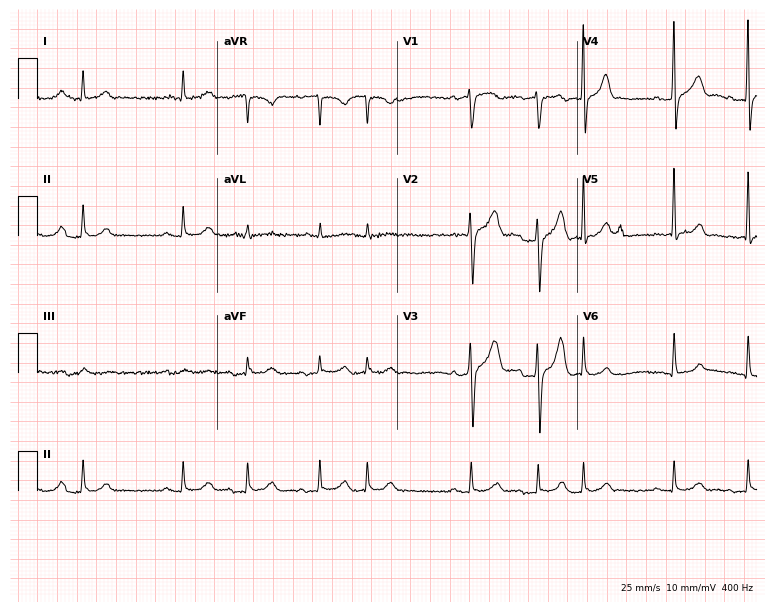
Resting 12-lead electrocardiogram (7.3-second recording at 400 Hz). Patient: a male, 60 years old. None of these six findings is recorded: first-degree AV block, right bundle branch block, left bundle branch block, sinus bradycardia, atrial fibrillation, sinus tachycardia.